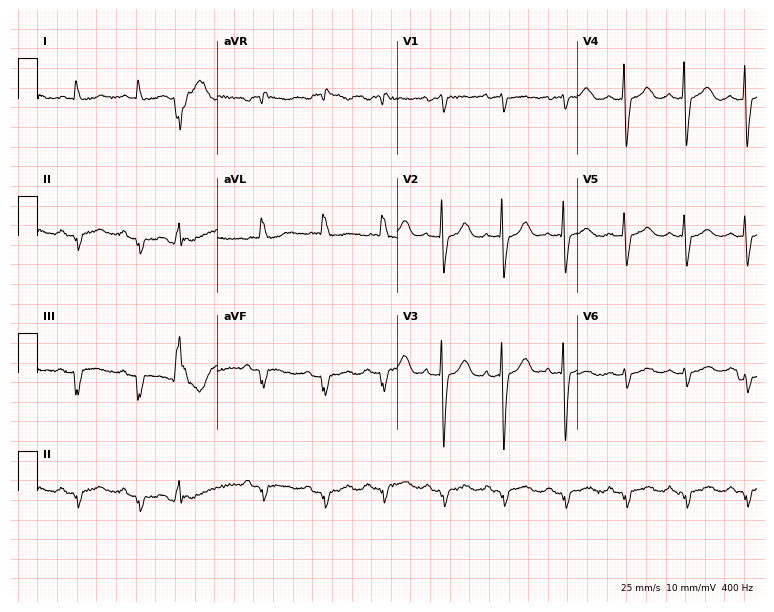
12-lead ECG (7.3-second recording at 400 Hz) from a 70-year-old female. Screened for six findings — first-degree AV block, right bundle branch block, left bundle branch block, sinus bradycardia, atrial fibrillation, sinus tachycardia — none is recorded.